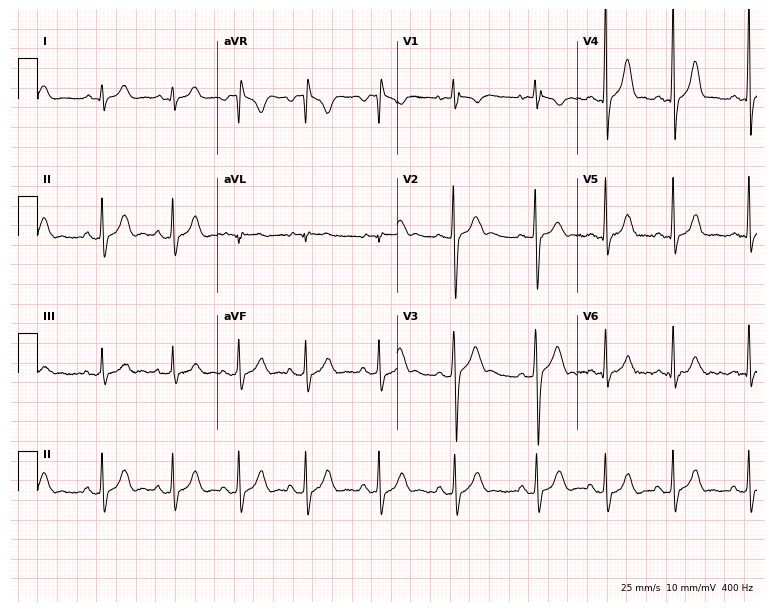
Standard 12-lead ECG recorded from a male, 17 years old. Read as a normal ECG.